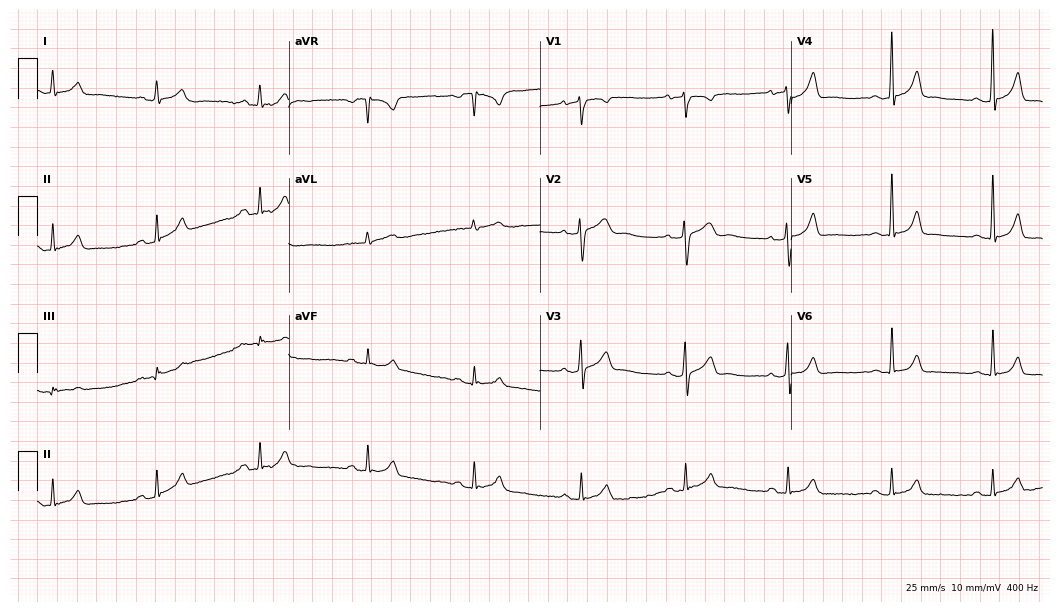
ECG (10.2-second recording at 400 Hz) — a man, 25 years old. Labelled as a normal ECG.